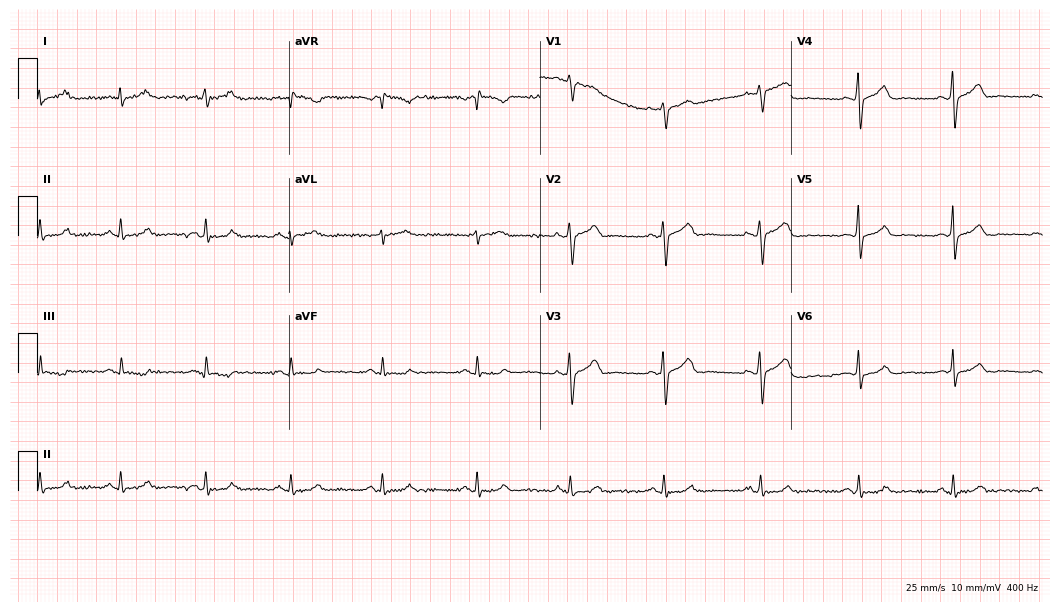
12-lead ECG from a male, 30 years old. Labelled as a normal ECG.